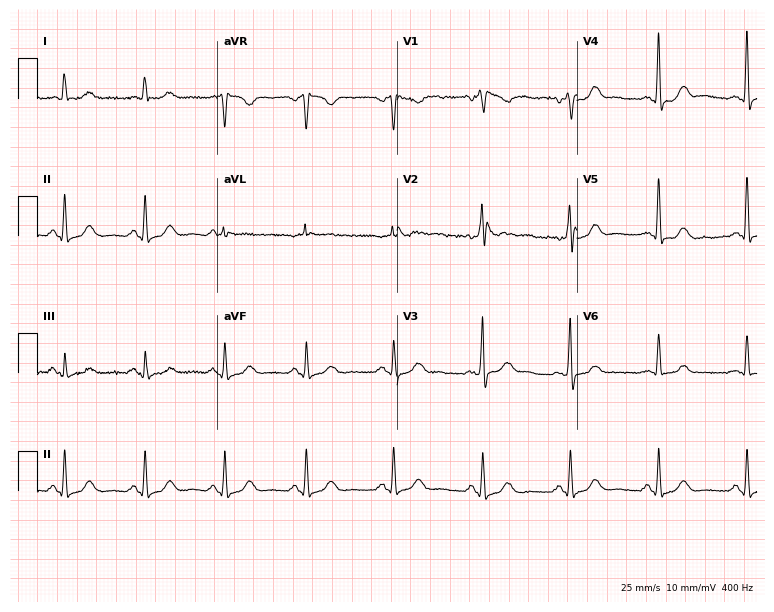
Standard 12-lead ECG recorded from a 51-year-old man. None of these six findings is recorded: first-degree AV block, right bundle branch block, left bundle branch block, sinus bradycardia, atrial fibrillation, sinus tachycardia.